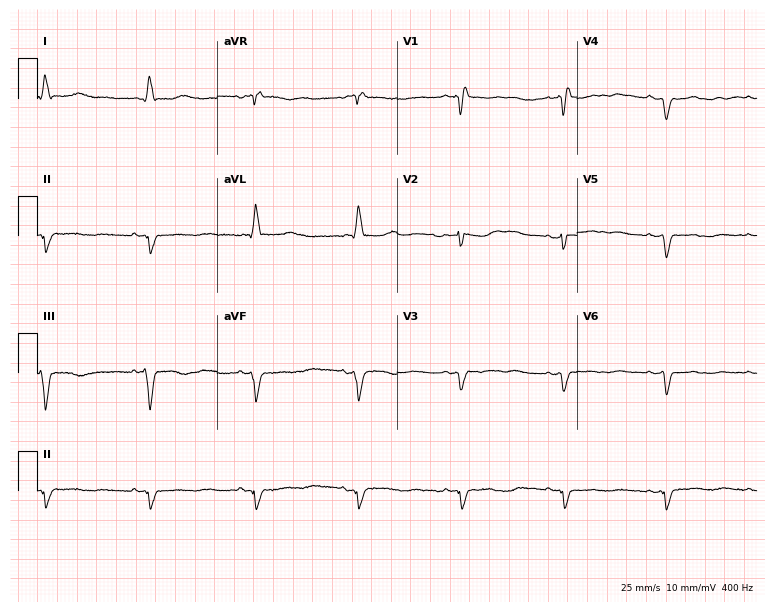
12-lead ECG from a 78-year-old female patient. Shows right bundle branch block.